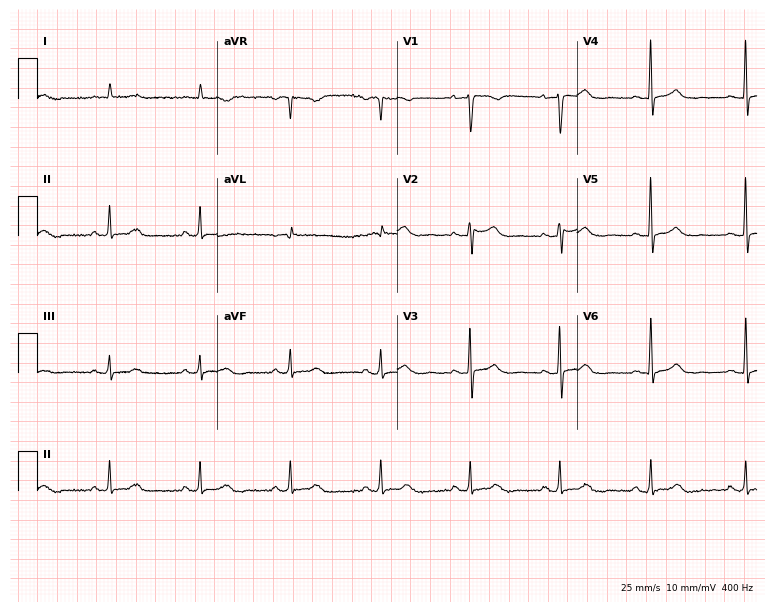
Standard 12-lead ECG recorded from a woman, 83 years old. None of these six findings is recorded: first-degree AV block, right bundle branch block, left bundle branch block, sinus bradycardia, atrial fibrillation, sinus tachycardia. Findings outside these six are not listed.